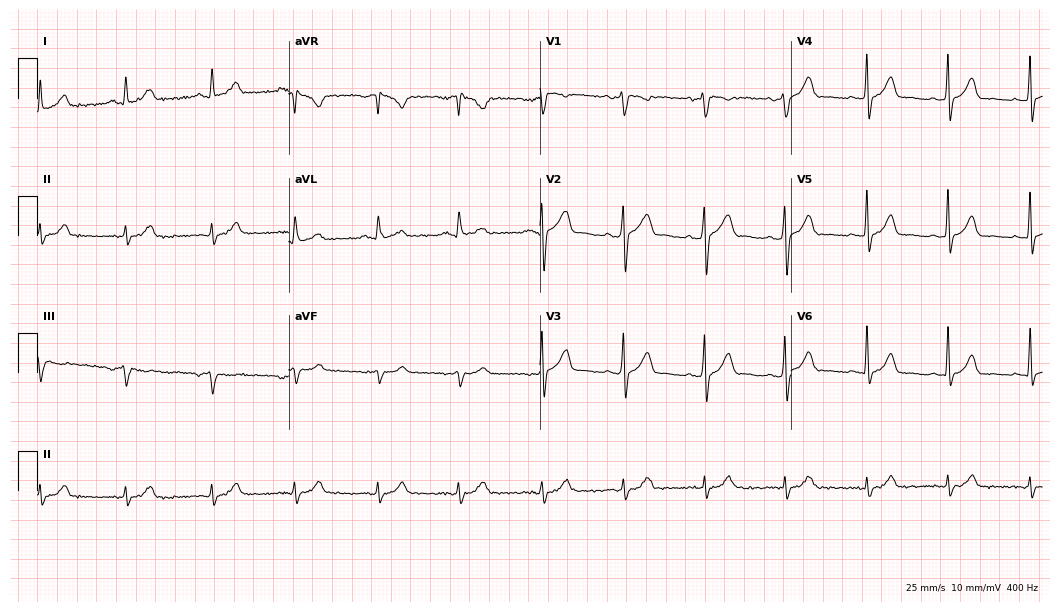
Resting 12-lead electrocardiogram (10.2-second recording at 400 Hz). Patient: a woman, 64 years old. Read as a normal ECG.